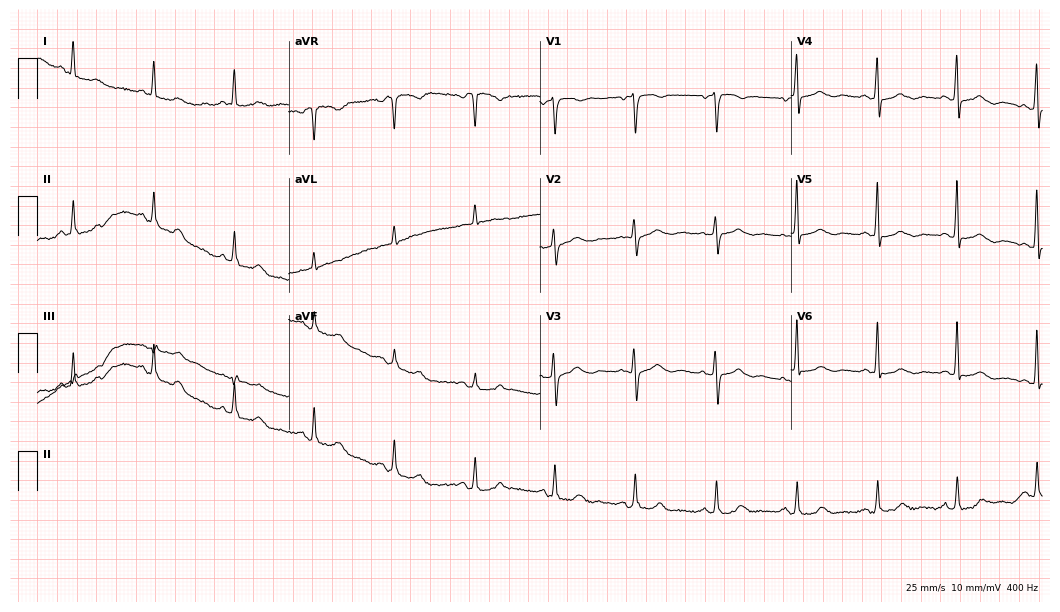
Electrocardiogram (10.2-second recording at 400 Hz), a female patient, 74 years old. Overall reading on record: normal ECG.